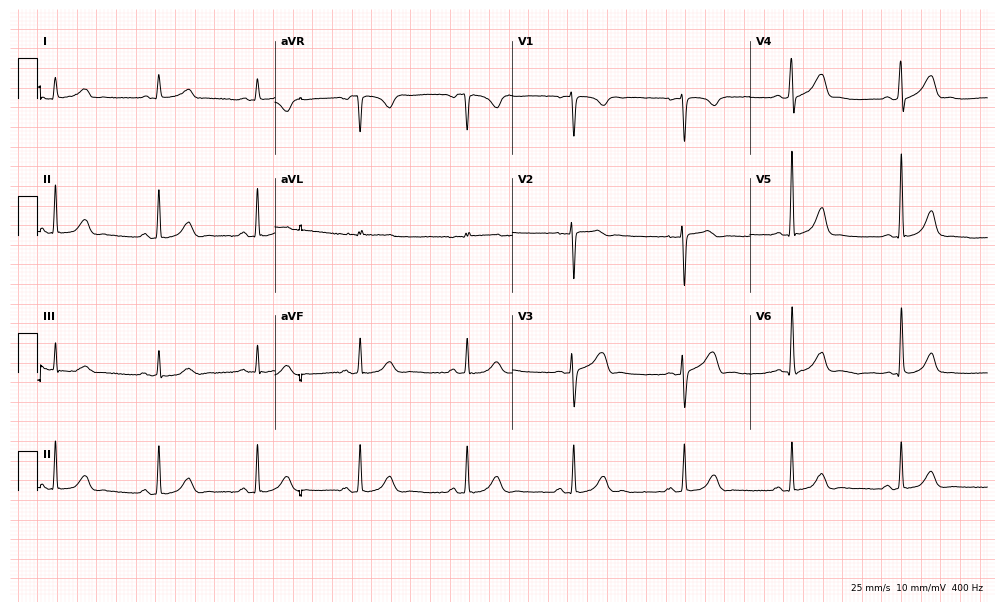
Resting 12-lead electrocardiogram. Patient: a 37-year-old female. Read as a normal ECG.